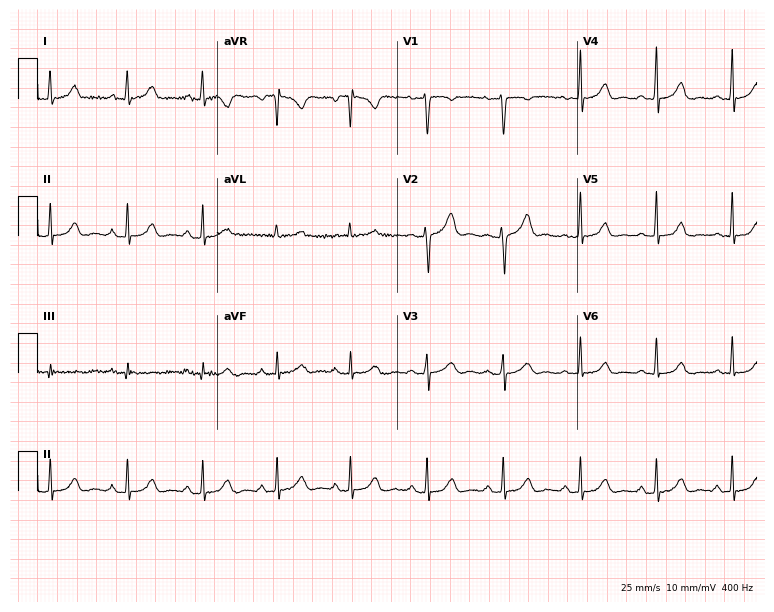
12-lead ECG from a 35-year-old female. Labelled as a normal ECG.